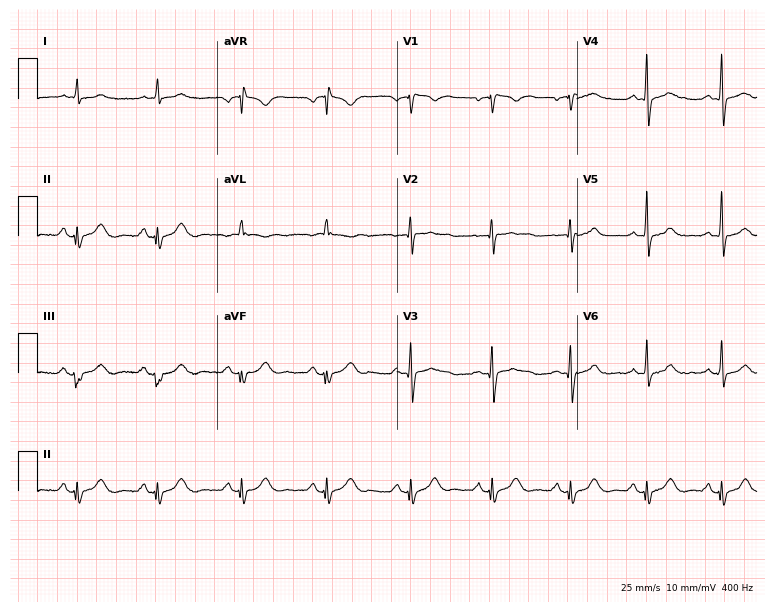
12-lead ECG from a man, 64 years old (7.3-second recording at 400 Hz). No first-degree AV block, right bundle branch block, left bundle branch block, sinus bradycardia, atrial fibrillation or sinus tachycardia recorded for this tracing. Findings outside these six are not listed.